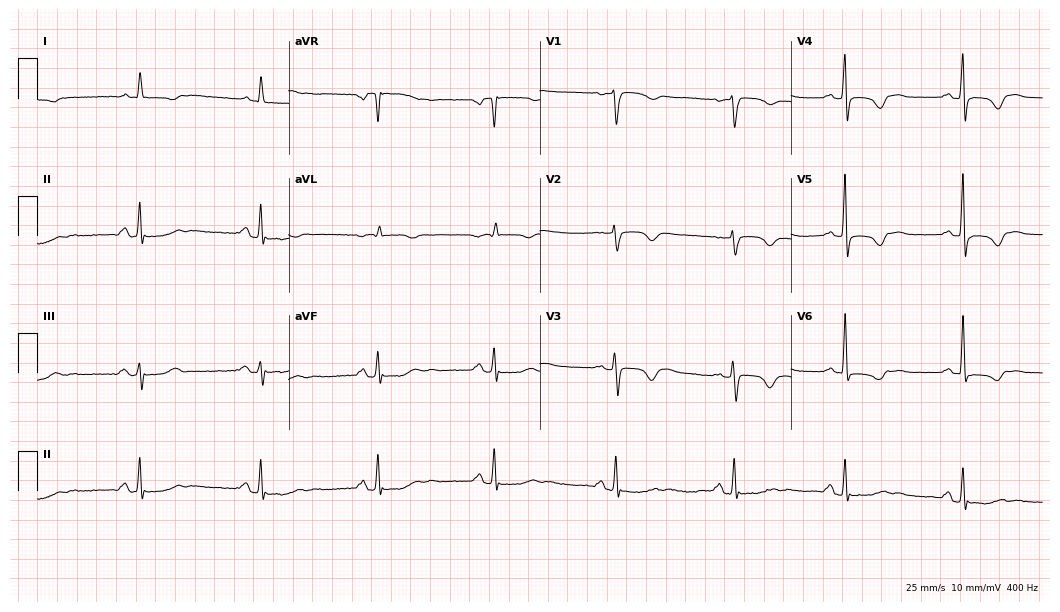
Resting 12-lead electrocardiogram. Patient: a 66-year-old female. None of these six findings is recorded: first-degree AV block, right bundle branch block, left bundle branch block, sinus bradycardia, atrial fibrillation, sinus tachycardia.